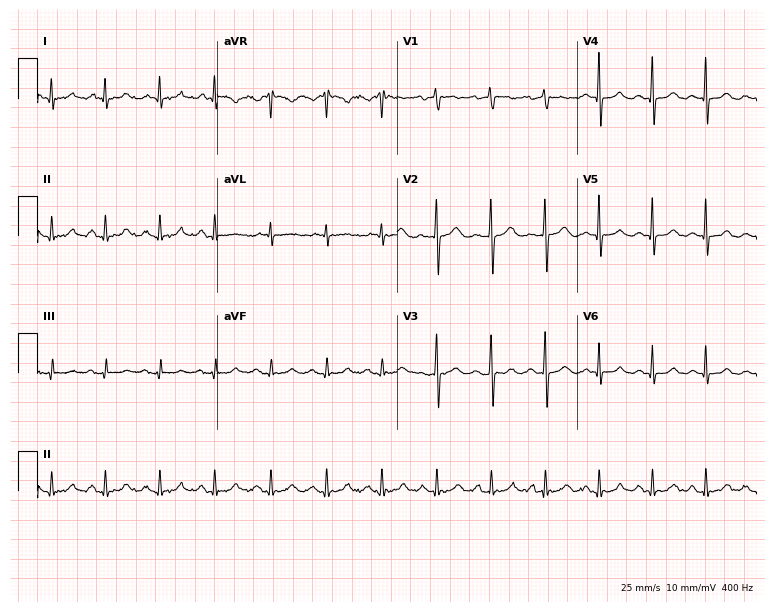
ECG — a 48-year-old female patient. Screened for six findings — first-degree AV block, right bundle branch block, left bundle branch block, sinus bradycardia, atrial fibrillation, sinus tachycardia — none is recorded. Findings outside these six are not listed.